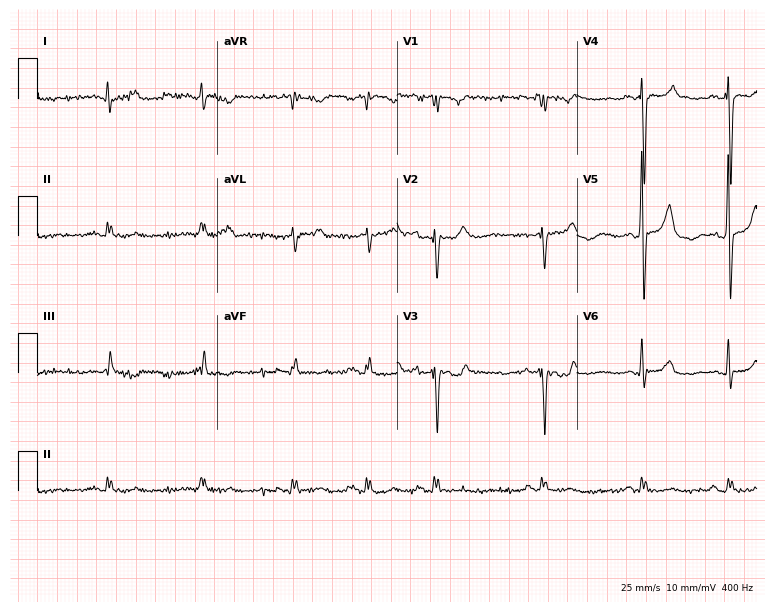
Resting 12-lead electrocardiogram. Patient: an 81-year-old male. None of these six findings is recorded: first-degree AV block, right bundle branch block, left bundle branch block, sinus bradycardia, atrial fibrillation, sinus tachycardia.